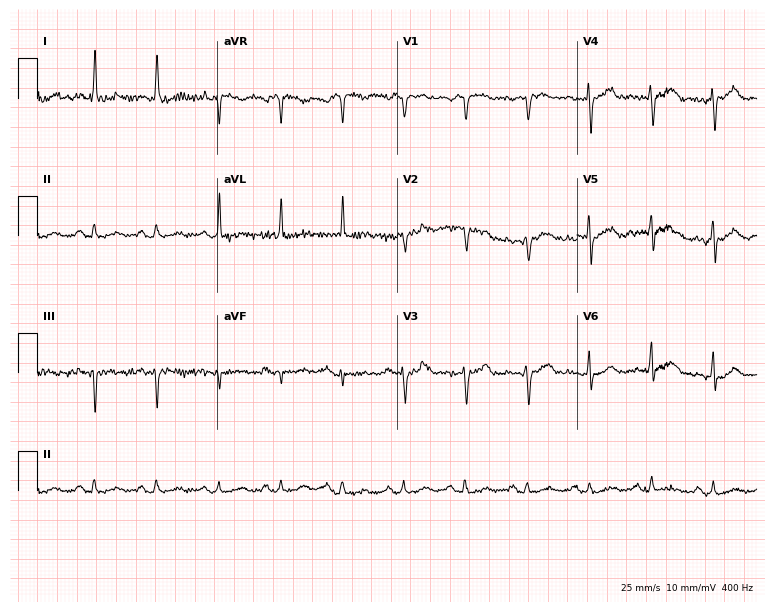
ECG — a female patient, 69 years old. Screened for six findings — first-degree AV block, right bundle branch block, left bundle branch block, sinus bradycardia, atrial fibrillation, sinus tachycardia — none is recorded.